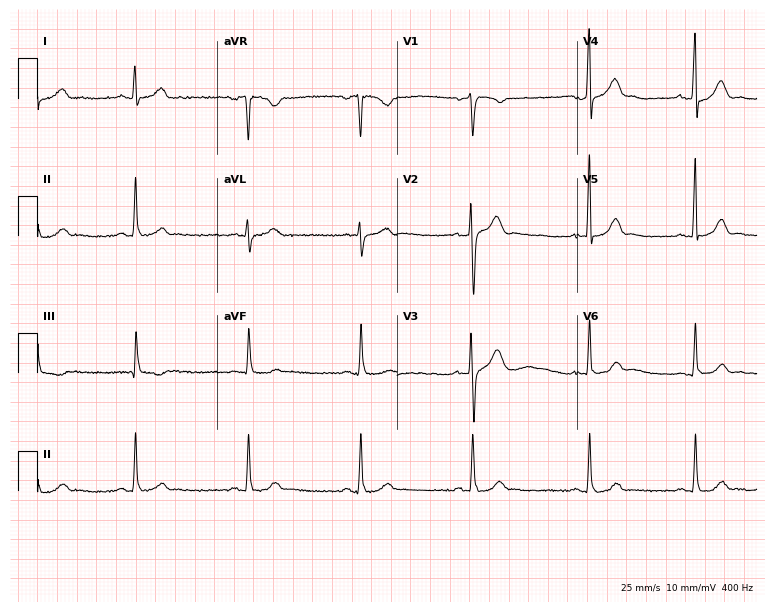
Resting 12-lead electrocardiogram (7.3-second recording at 400 Hz). Patient: a male, 44 years old. Read as a normal ECG.